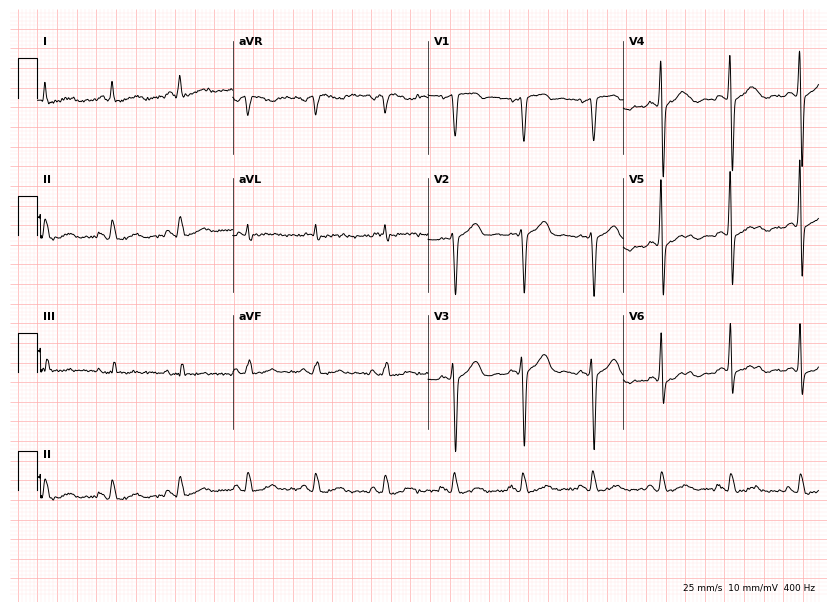
Standard 12-lead ECG recorded from a 66-year-old male patient. None of these six findings is recorded: first-degree AV block, right bundle branch block (RBBB), left bundle branch block (LBBB), sinus bradycardia, atrial fibrillation (AF), sinus tachycardia. Only these six findings were labelled.